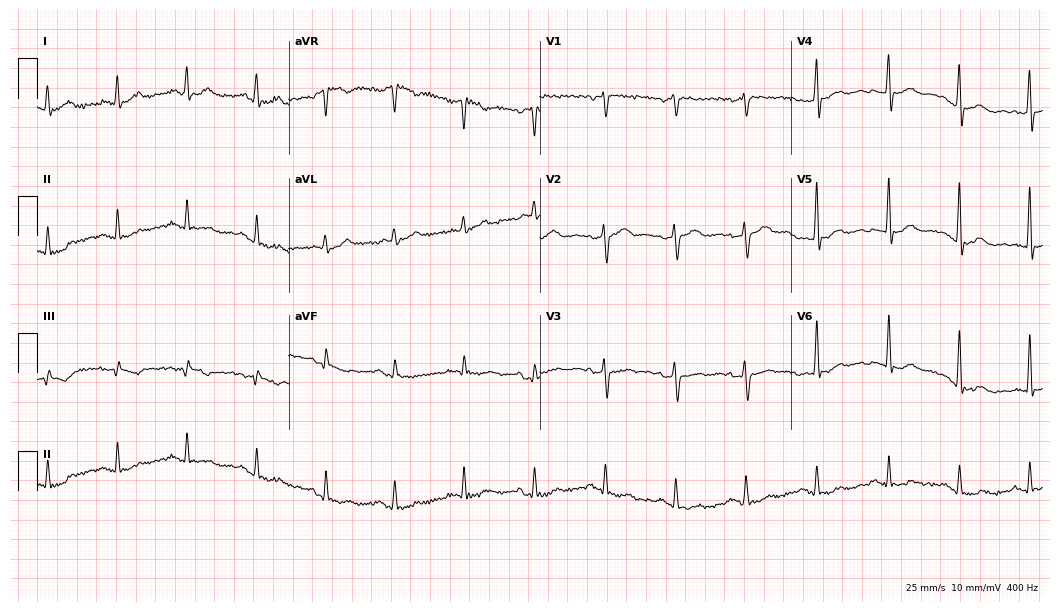
Electrocardiogram, a 54-year-old female. Overall reading on record: normal ECG.